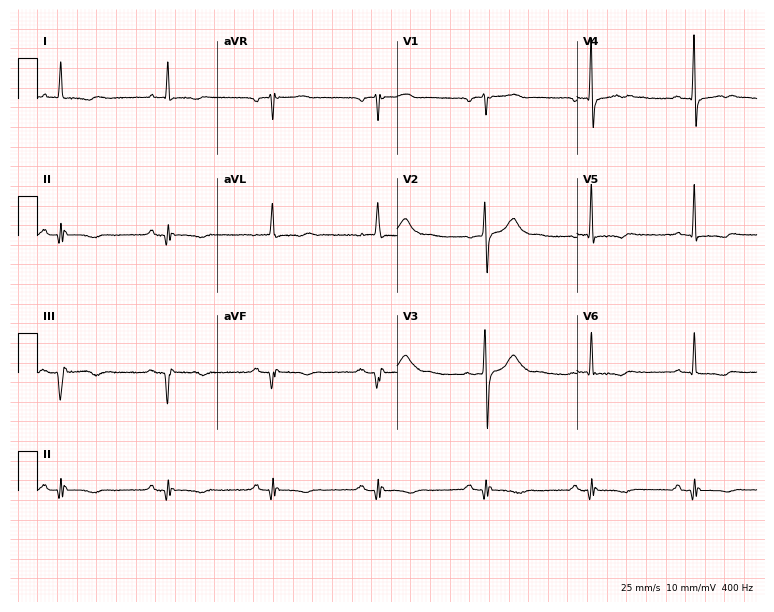
12-lead ECG from a male patient, 67 years old (7.3-second recording at 400 Hz). No first-degree AV block, right bundle branch block, left bundle branch block, sinus bradycardia, atrial fibrillation or sinus tachycardia recorded for this tracing. Findings outside these six are not listed.